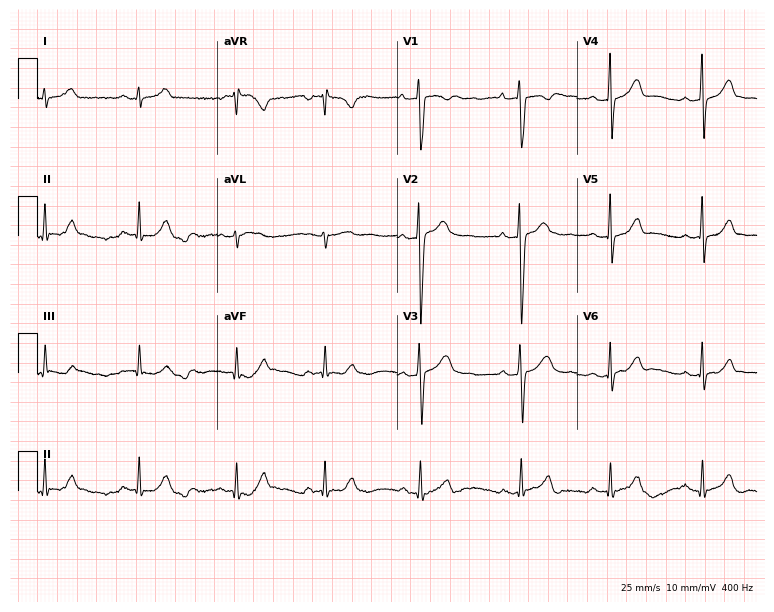
12-lead ECG from a 32-year-old female patient (7.3-second recording at 400 Hz). Recorded interpretation: within normal limits.